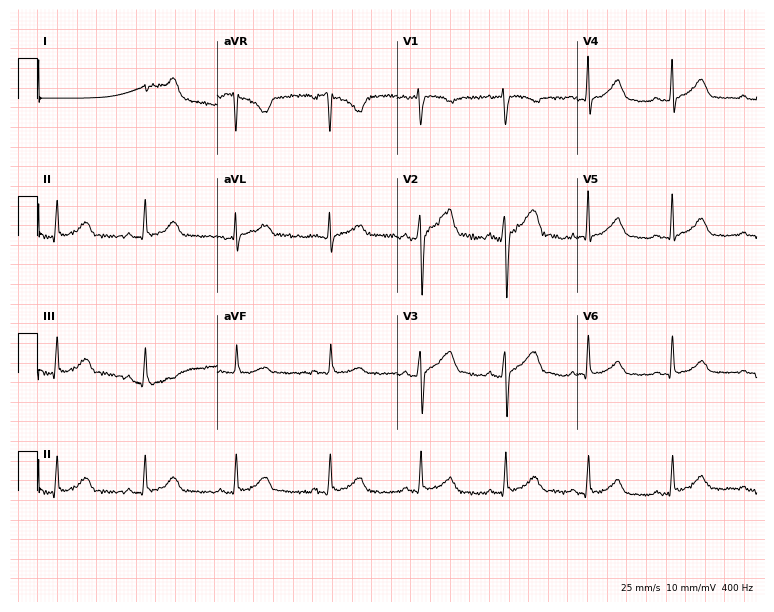
Standard 12-lead ECG recorded from a 22-year-old female (7.3-second recording at 400 Hz). Read as a normal ECG.